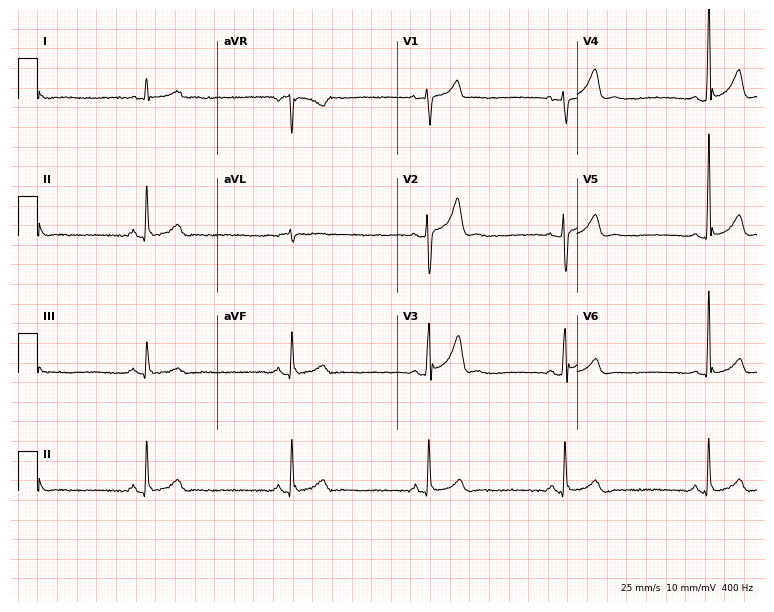
Resting 12-lead electrocardiogram. Patient: a male, 36 years old. The tracing shows sinus bradycardia (a sinus rate of 50 beats per minute or less).